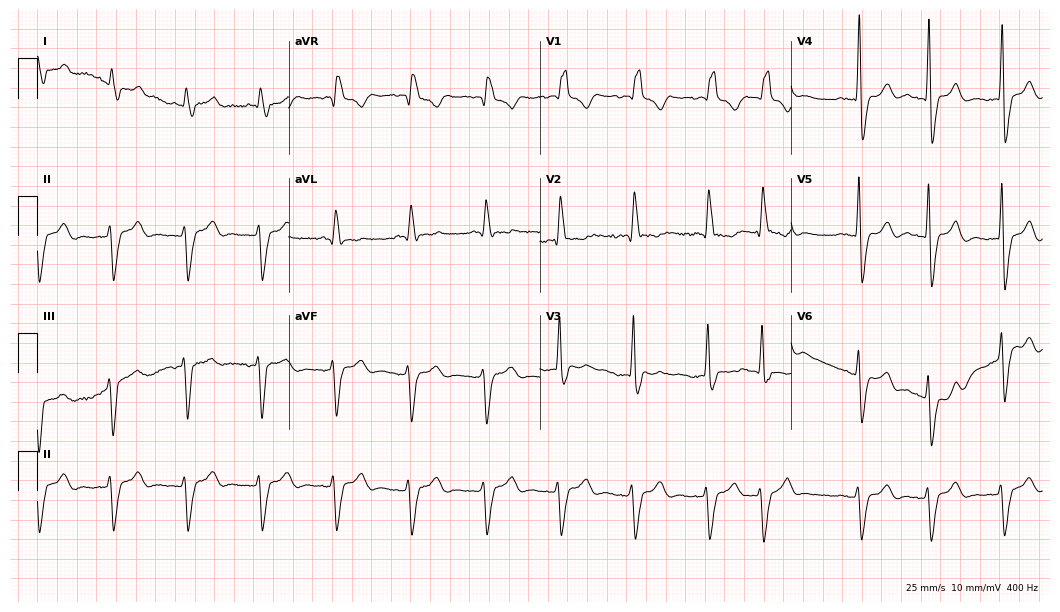
12-lead ECG from a male, 77 years old. Shows right bundle branch block (RBBB), atrial fibrillation (AF).